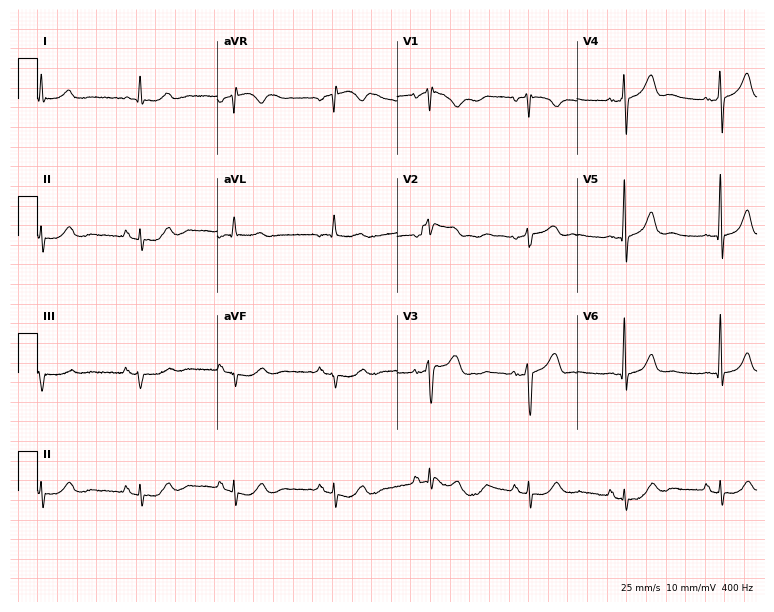
Resting 12-lead electrocardiogram (7.3-second recording at 400 Hz). Patient: a 78-year-old male. Read as a normal ECG.